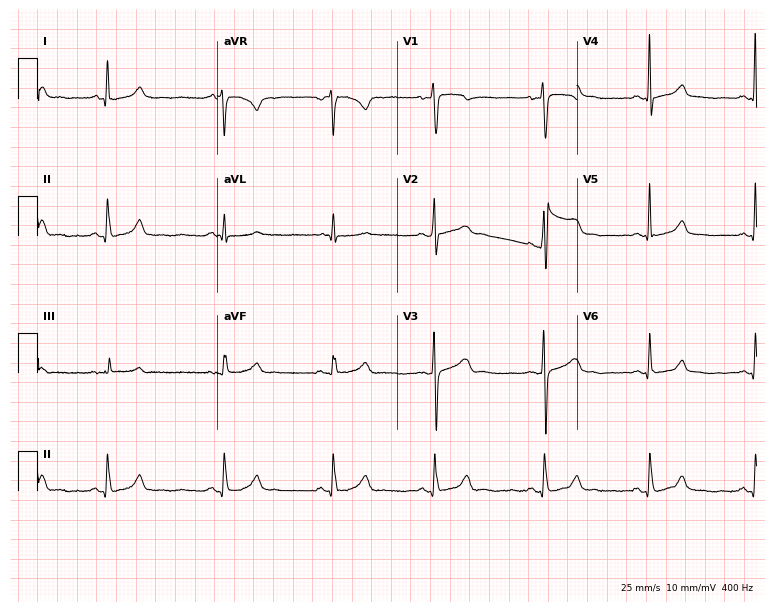
ECG (7.3-second recording at 400 Hz) — a male, 17 years old. Labelled as a normal ECG.